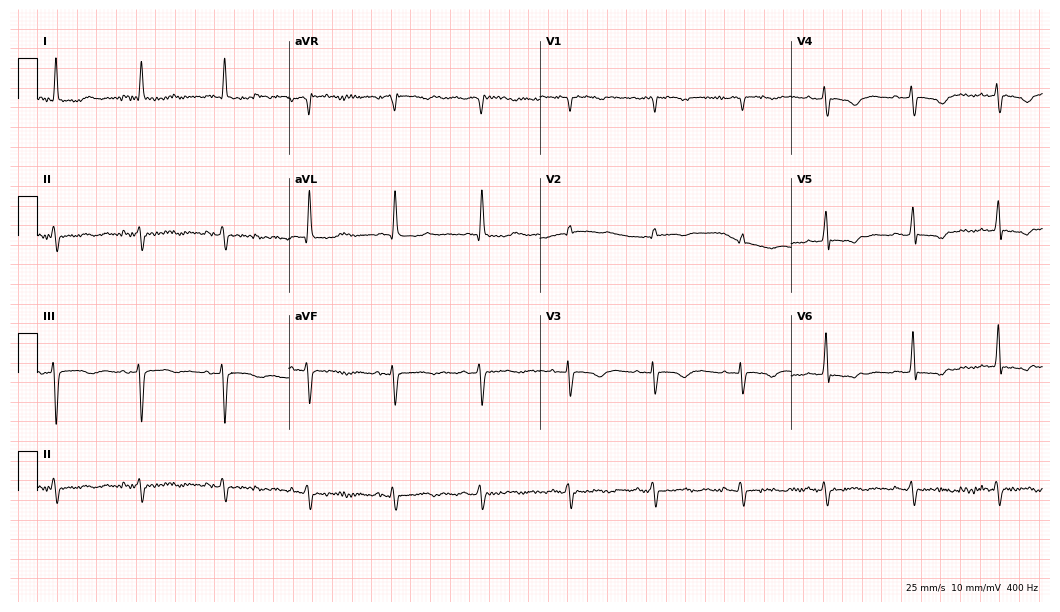
12-lead ECG from a female, 82 years old. No first-degree AV block, right bundle branch block, left bundle branch block, sinus bradycardia, atrial fibrillation or sinus tachycardia recorded for this tracing.